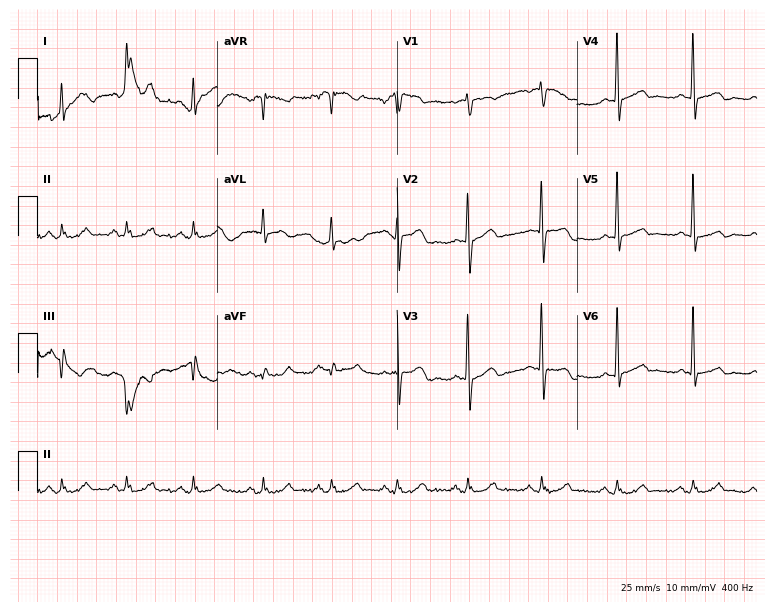
12-lead ECG (7.3-second recording at 400 Hz) from a 61-year-old male patient. Labelled as a normal ECG.